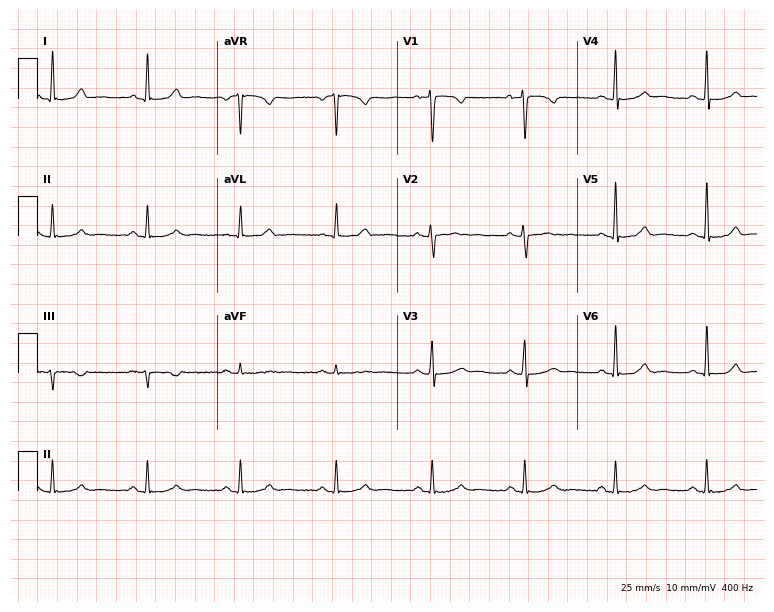
Electrocardiogram, a female patient, 57 years old. Overall reading on record: normal ECG.